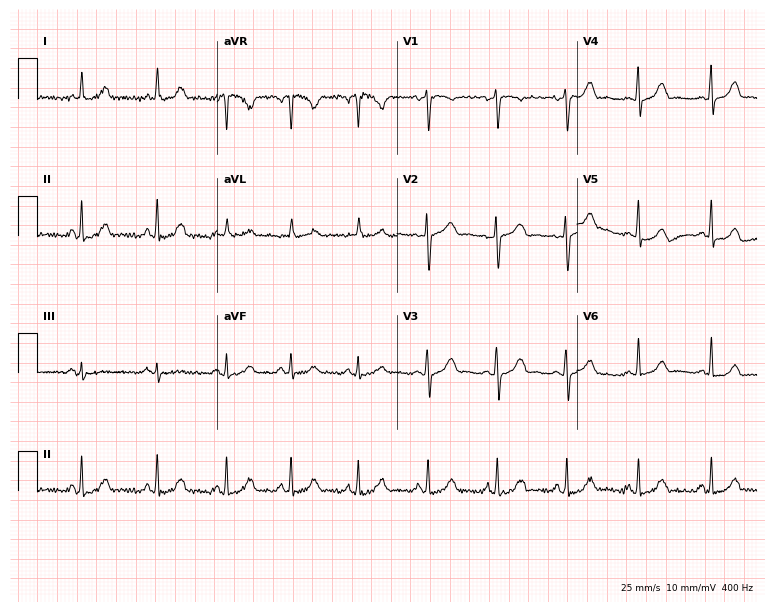
Standard 12-lead ECG recorded from a 31-year-old female. Read as a normal ECG.